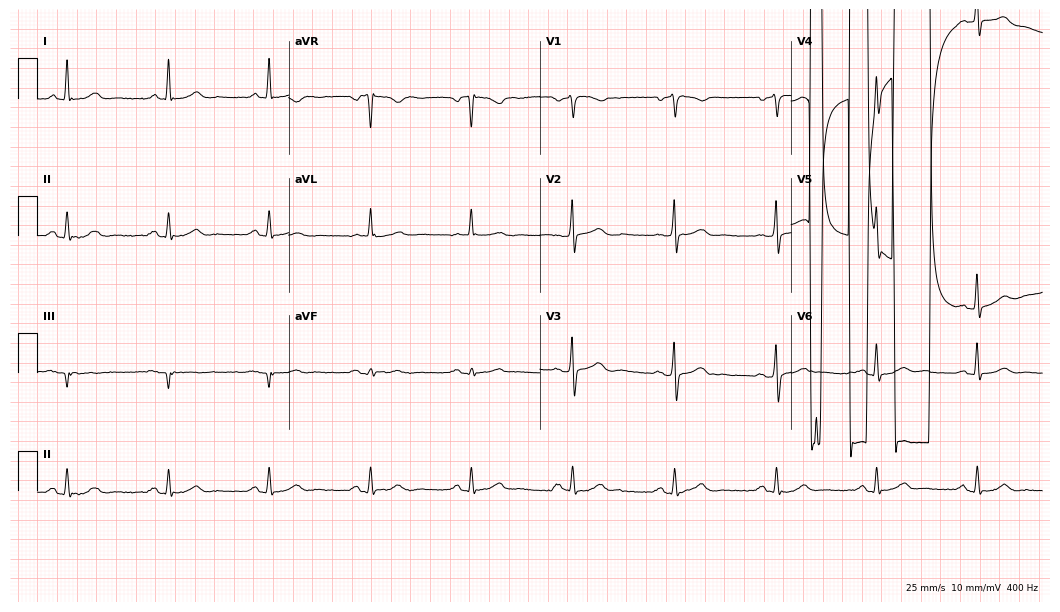
12-lead ECG from a male patient, 72 years old. Screened for six findings — first-degree AV block, right bundle branch block, left bundle branch block, sinus bradycardia, atrial fibrillation, sinus tachycardia — none is recorded. Findings outside these six are not listed.